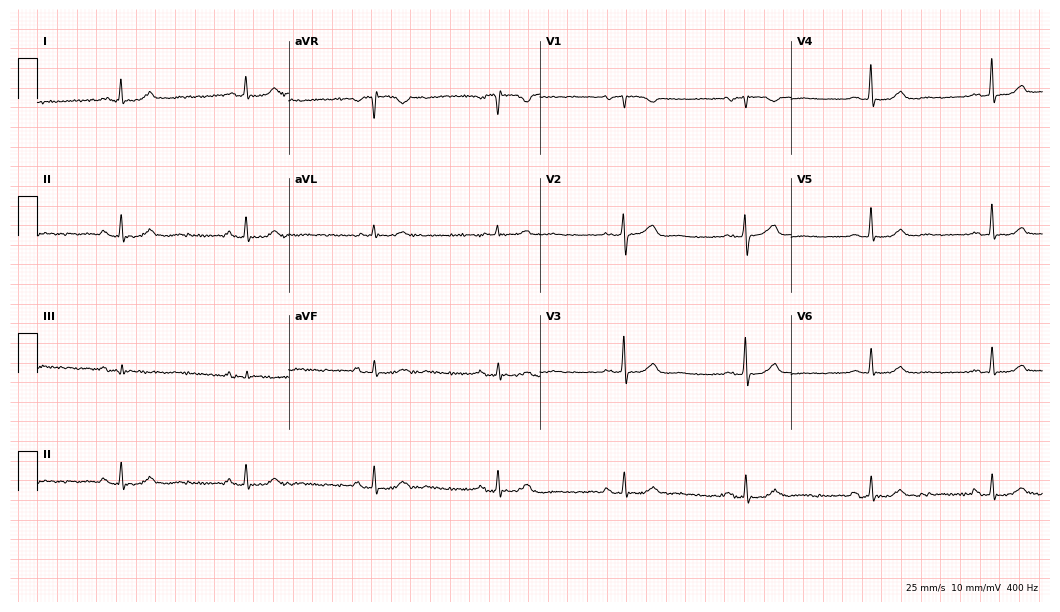
ECG — an 82-year-old female patient. Screened for six findings — first-degree AV block, right bundle branch block (RBBB), left bundle branch block (LBBB), sinus bradycardia, atrial fibrillation (AF), sinus tachycardia — none is recorded.